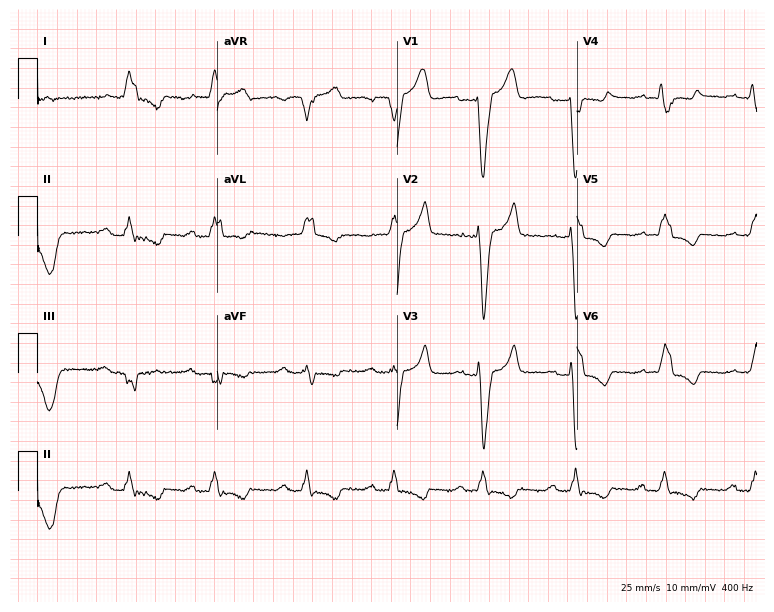
12-lead ECG from a male, 77 years old (7.3-second recording at 400 Hz). No first-degree AV block, right bundle branch block, left bundle branch block, sinus bradycardia, atrial fibrillation or sinus tachycardia recorded for this tracing.